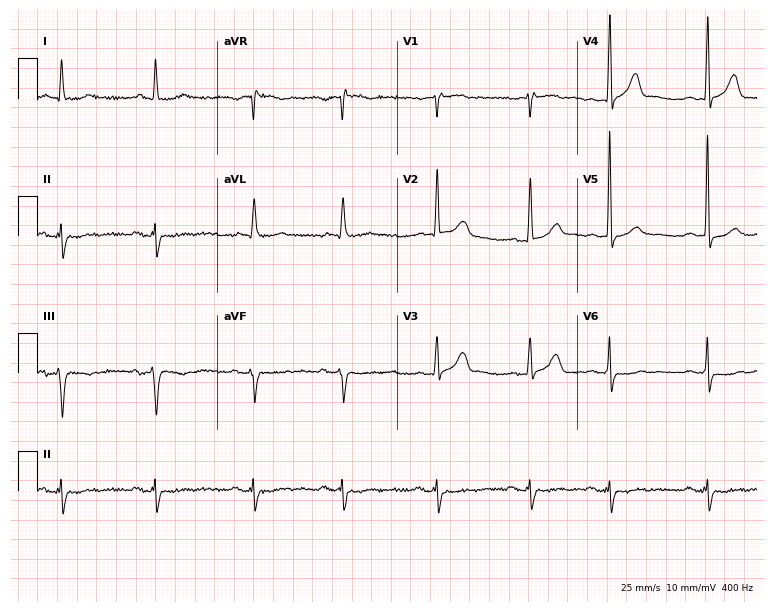
Electrocardiogram, a man, 79 years old. Of the six screened findings (first-degree AV block, right bundle branch block (RBBB), left bundle branch block (LBBB), sinus bradycardia, atrial fibrillation (AF), sinus tachycardia), none is recorded. Only these six findings were labelled.